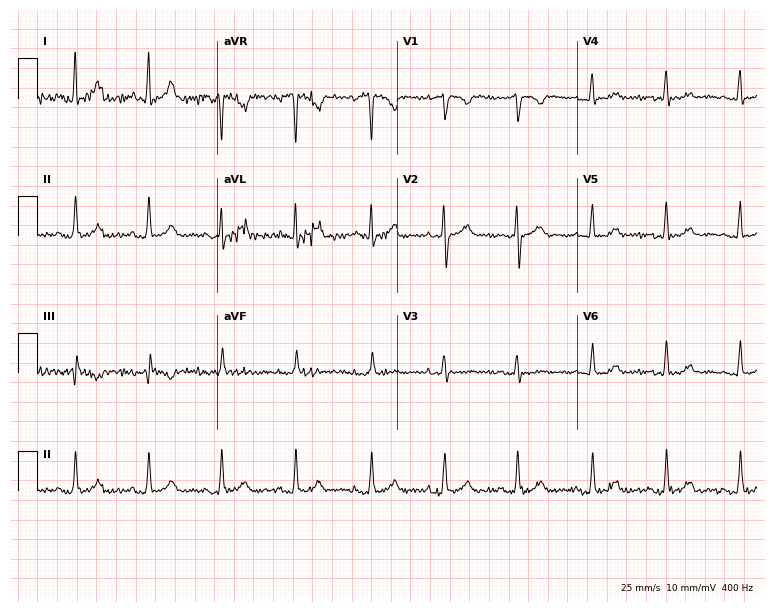
ECG — a 41-year-old female patient. Labelled as a normal ECG.